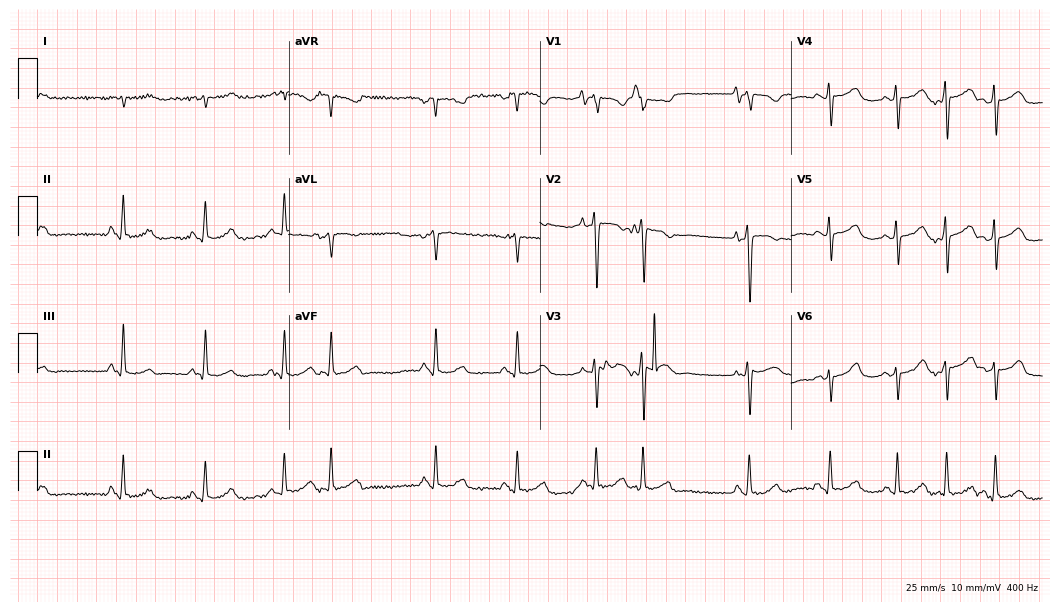
12-lead ECG from an 84-year-old woman. Screened for six findings — first-degree AV block, right bundle branch block, left bundle branch block, sinus bradycardia, atrial fibrillation, sinus tachycardia — none is recorded.